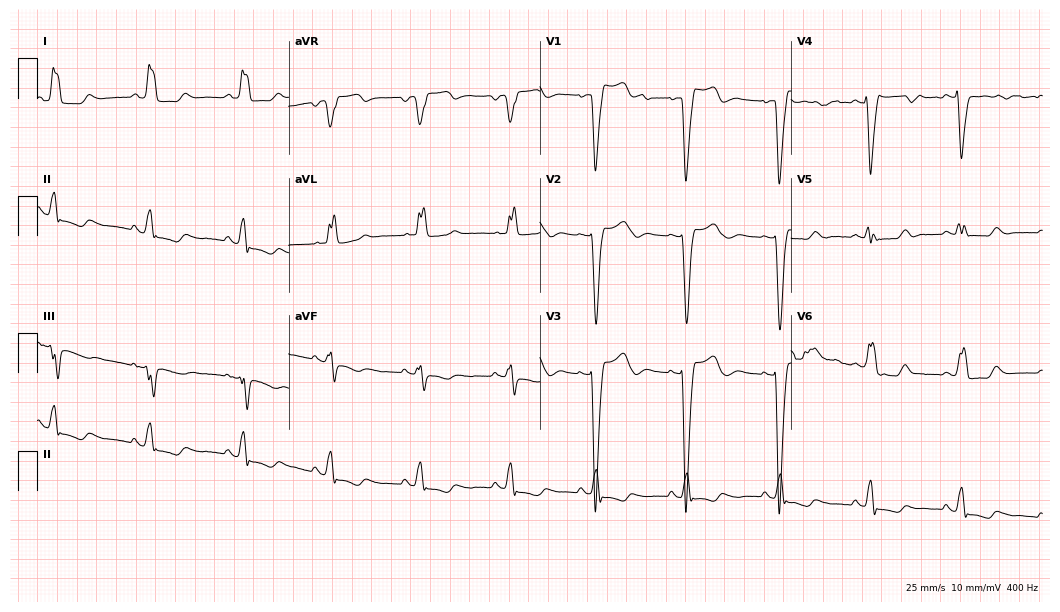
12-lead ECG (10.2-second recording at 400 Hz) from a 40-year-old female patient. Findings include left bundle branch block.